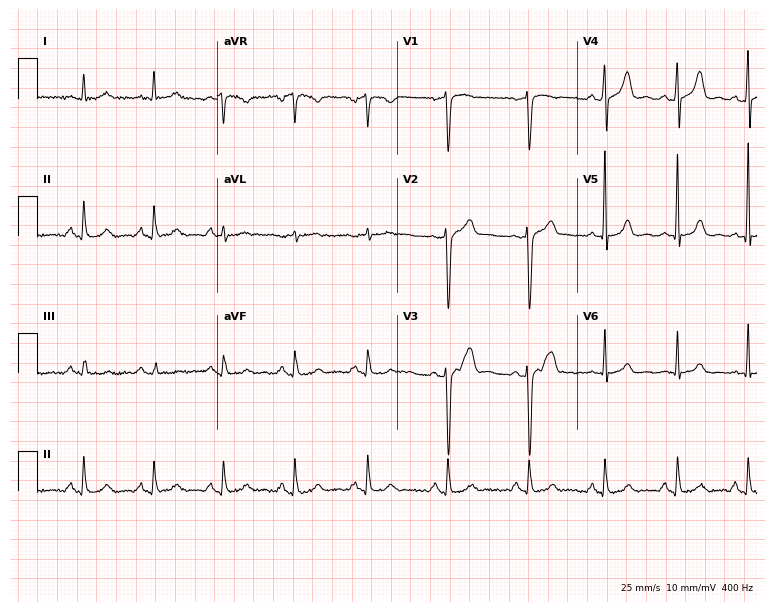
Electrocardiogram (7.3-second recording at 400 Hz), a 74-year-old male. Overall reading on record: normal ECG.